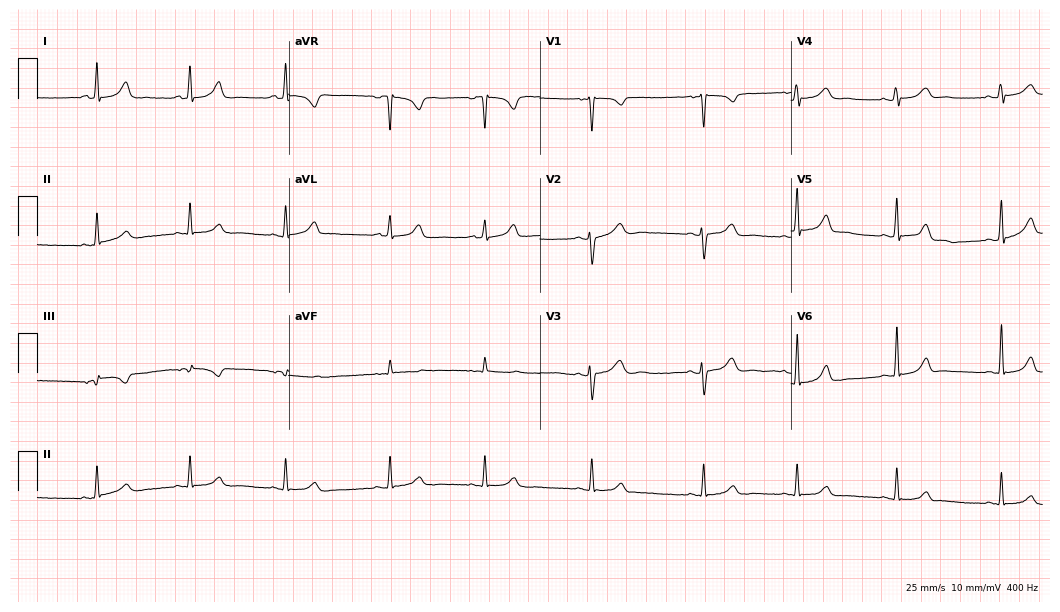
12-lead ECG from a 41-year-old female. Recorded interpretation: within normal limits.